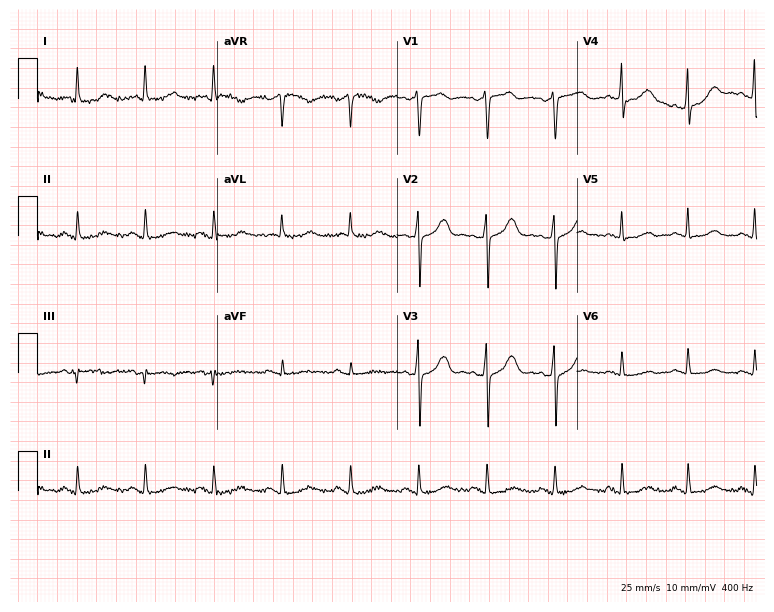
ECG — a female patient, 73 years old. Screened for six findings — first-degree AV block, right bundle branch block, left bundle branch block, sinus bradycardia, atrial fibrillation, sinus tachycardia — none is recorded.